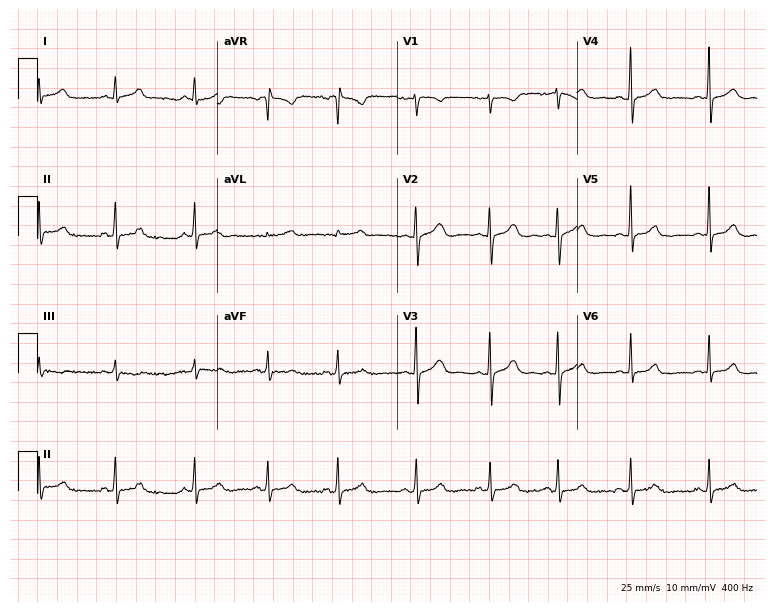
Resting 12-lead electrocardiogram (7.3-second recording at 400 Hz). Patient: a 21-year-old woman. Read as a normal ECG.